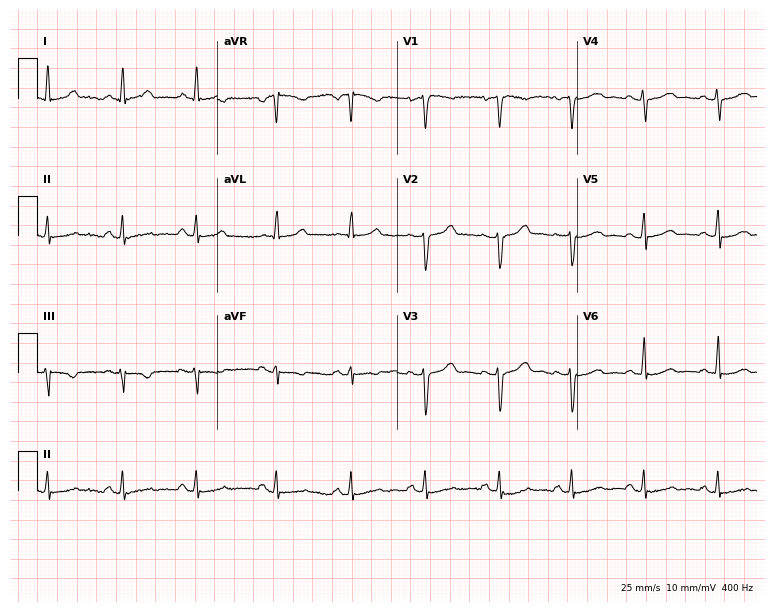
Electrocardiogram (7.3-second recording at 400 Hz), a female patient, 32 years old. Overall reading on record: normal ECG.